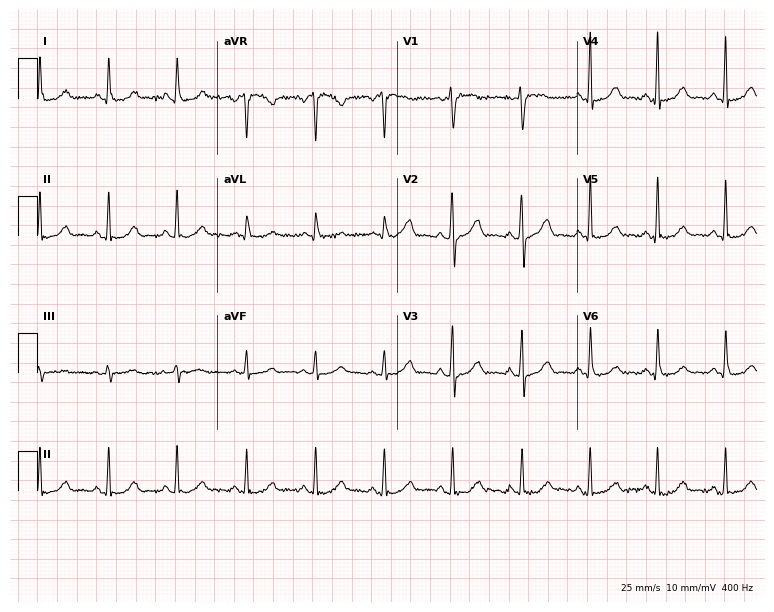
ECG (7.3-second recording at 400 Hz) — a 51-year-old female patient. Labelled as a normal ECG.